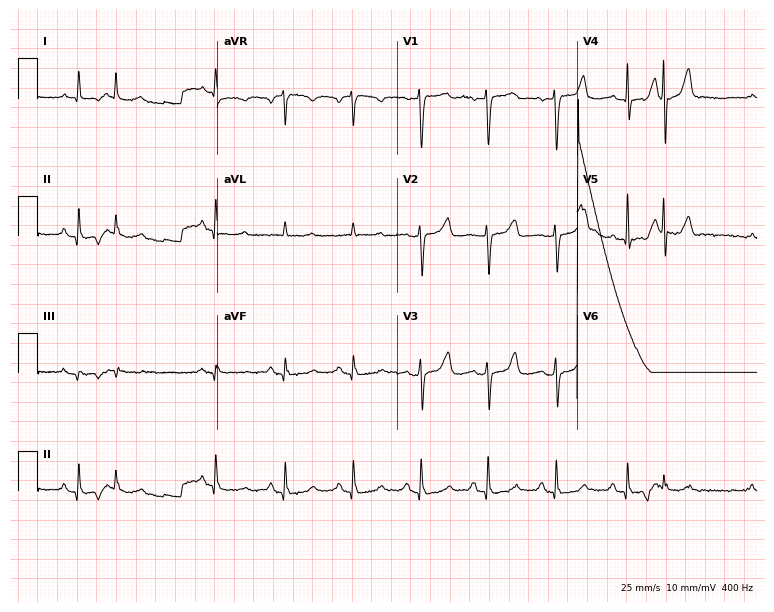
Resting 12-lead electrocardiogram (7.3-second recording at 400 Hz). Patient: a 70-year-old female. None of these six findings is recorded: first-degree AV block, right bundle branch block, left bundle branch block, sinus bradycardia, atrial fibrillation, sinus tachycardia.